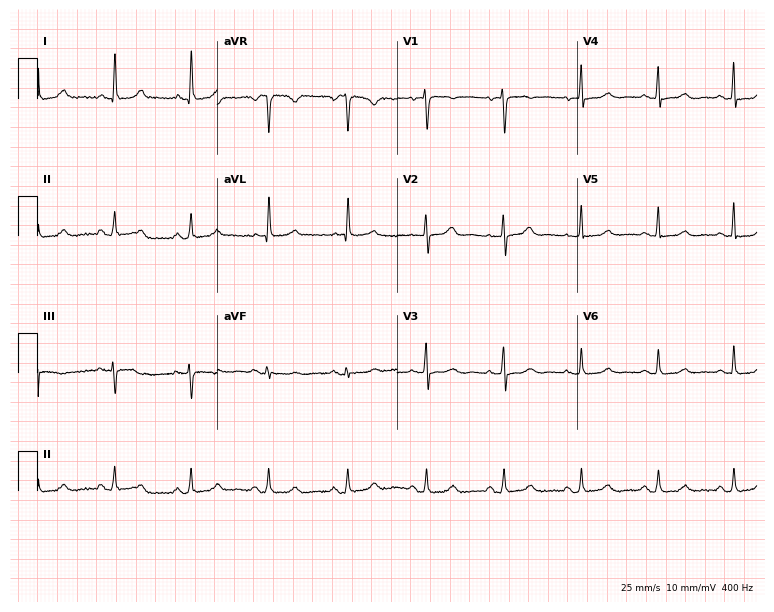
ECG — a 65-year-old woman. Labelled as a normal ECG.